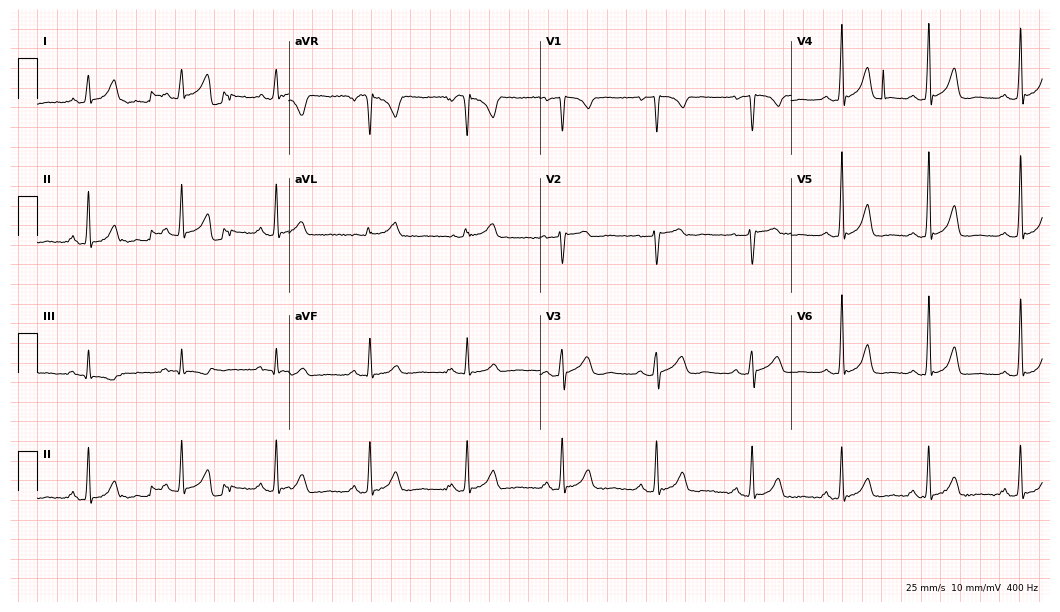
Electrocardiogram (10.2-second recording at 400 Hz), a 20-year-old female. Overall reading on record: normal ECG.